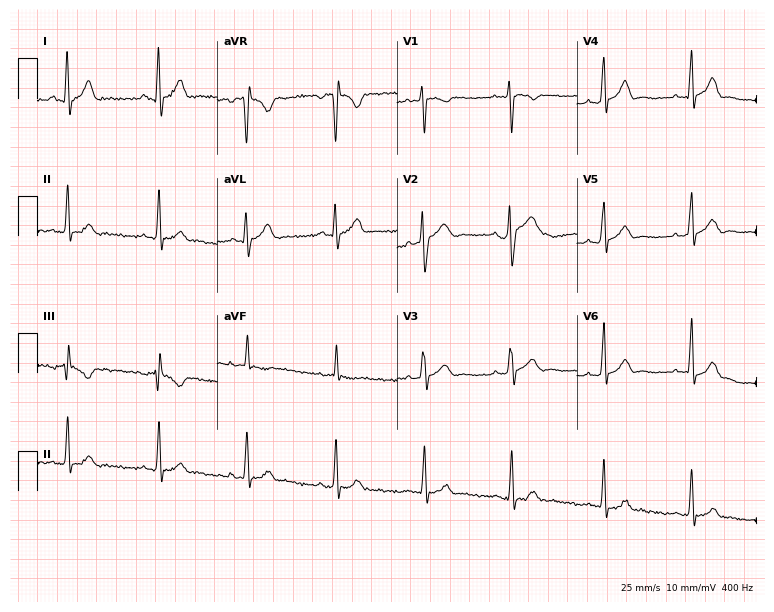
ECG (7.3-second recording at 400 Hz) — a male, 24 years old. Screened for six findings — first-degree AV block, right bundle branch block (RBBB), left bundle branch block (LBBB), sinus bradycardia, atrial fibrillation (AF), sinus tachycardia — none is recorded. Findings outside these six are not listed.